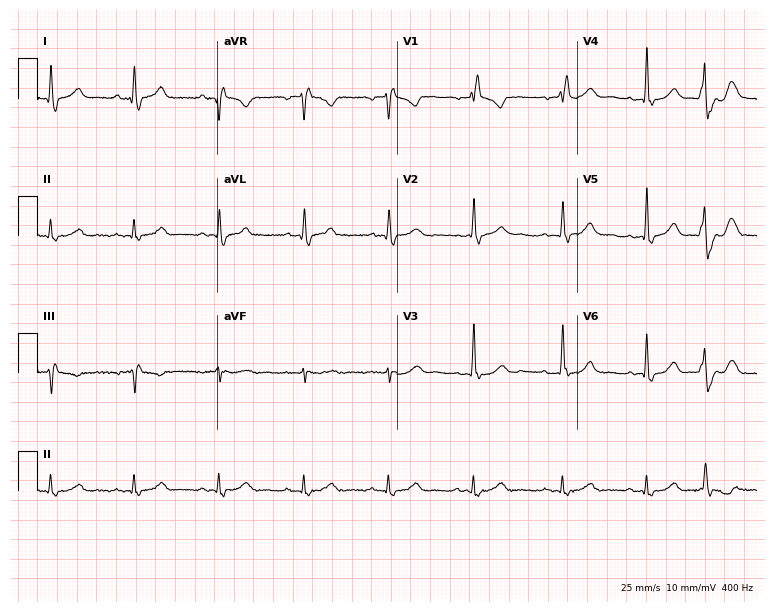
Standard 12-lead ECG recorded from a man, 69 years old (7.3-second recording at 400 Hz). None of these six findings is recorded: first-degree AV block, right bundle branch block, left bundle branch block, sinus bradycardia, atrial fibrillation, sinus tachycardia. Other findings, if any, are not listed.